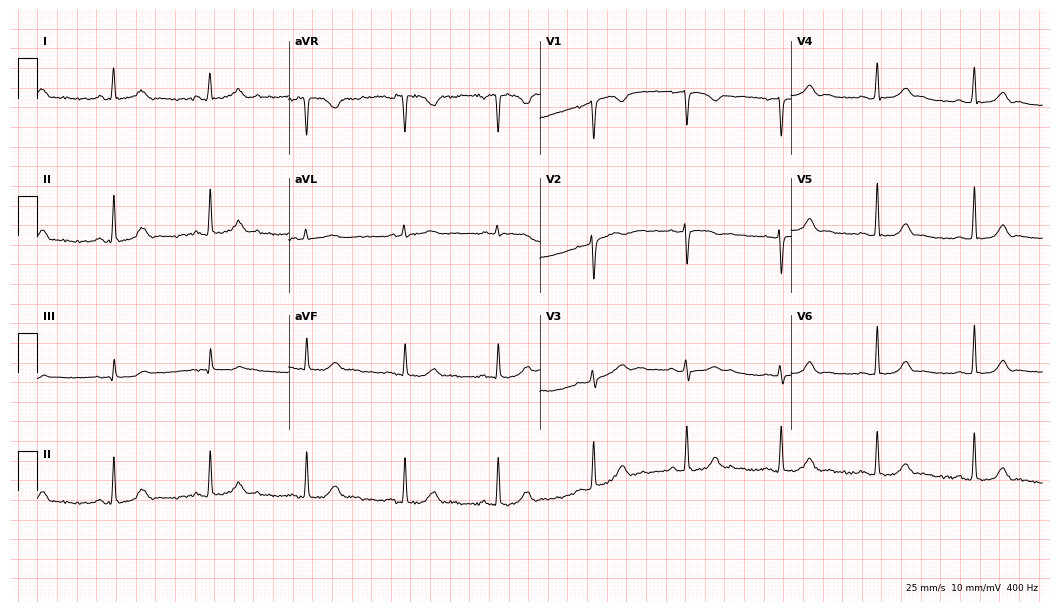
Resting 12-lead electrocardiogram (10.2-second recording at 400 Hz). Patient: a woman, 39 years old. Read as a normal ECG.